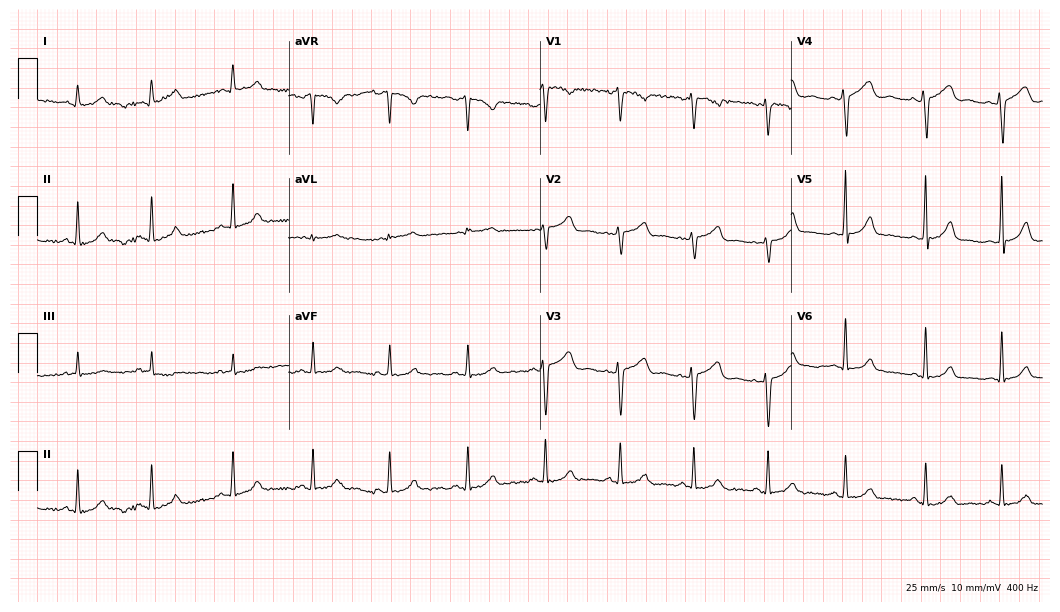
Resting 12-lead electrocardiogram. Patient: a 30-year-old female. None of these six findings is recorded: first-degree AV block, right bundle branch block, left bundle branch block, sinus bradycardia, atrial fibrillation, sinus tachycardia.